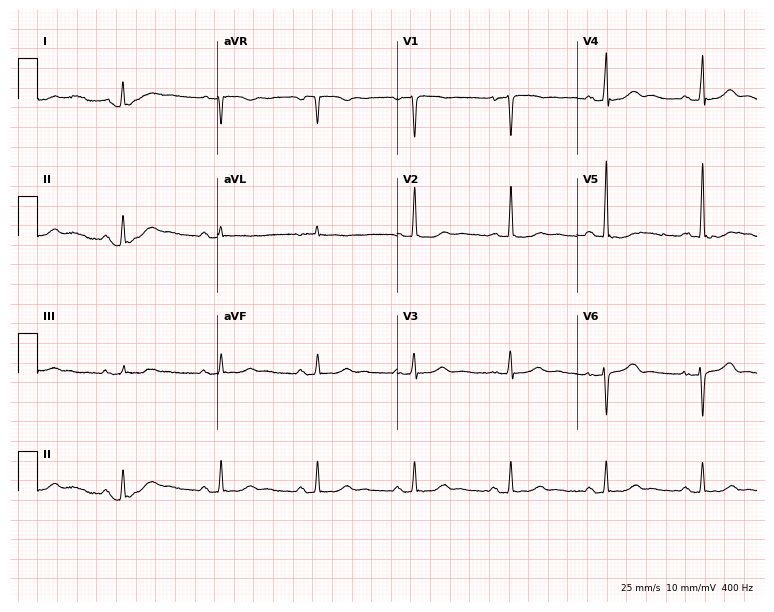
Standard 12-lead ECG recorded from a female, 81 years old (7.3-second recording at 400 Hz). None of these six findings is recorded: first-degree AV block, right bundle branch block, left bundle branch block, sinus bradycardia, atrial fibrillation, sinus tachycardia. Findings outside these six are not listed.